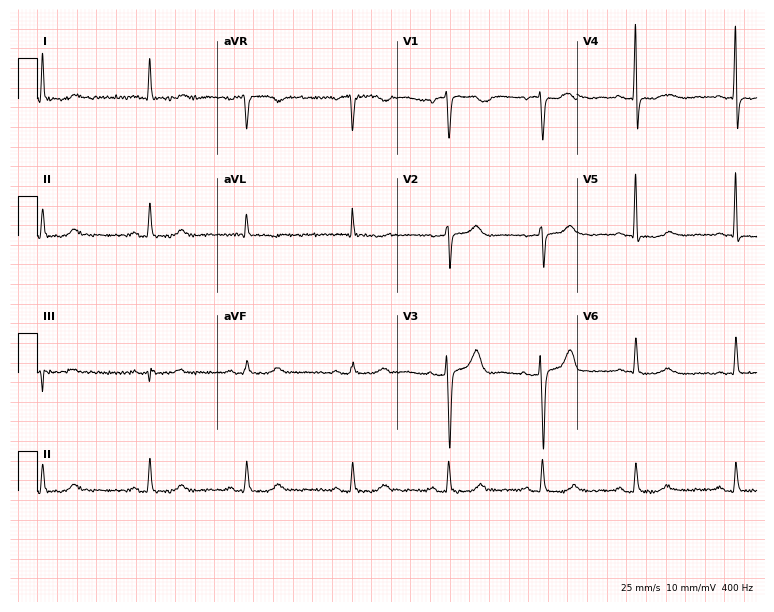
Standard 12-lead ECG recorded from a female patient, 70 years old. None of these six findings is recorded: first-degree AV block, right bundle branch block (RBBB), left bundle branch block (LBBB), sinus bradycardia, atrial fibrillation (AF), sinus tachycardia. Other findings, if any, are not listed.